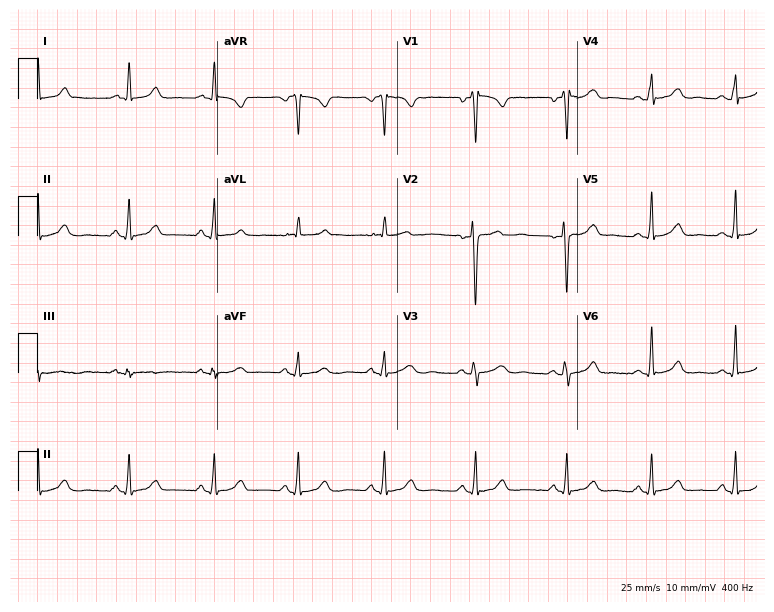
12-lead ECG from a 25-year-old female. Recorded interpretation: within normal limits.